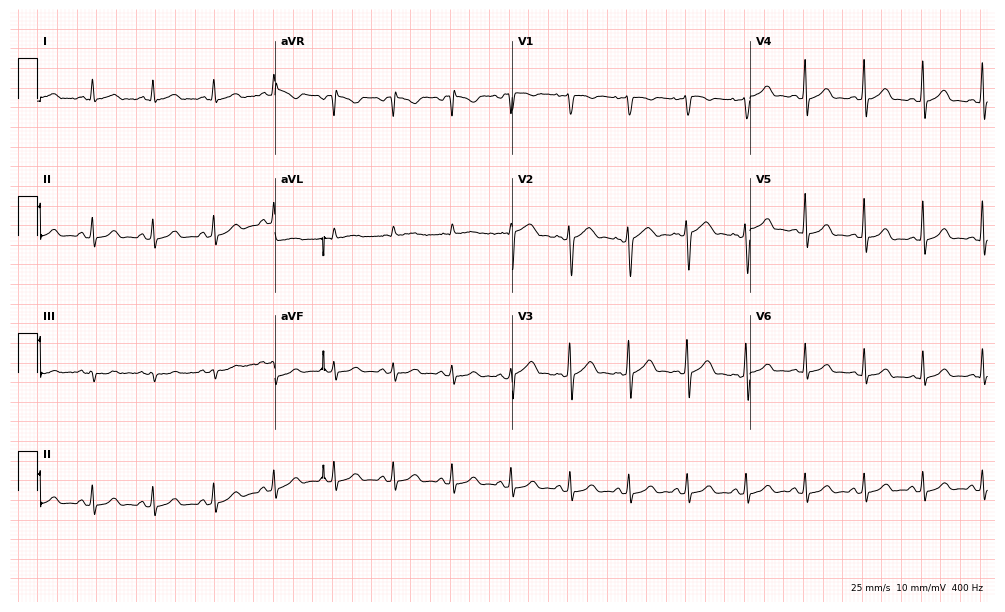
12-lead ECG (9.7-second recording at 400 Hz) from a 27-year-old woman. Labelled as a normal ECG.